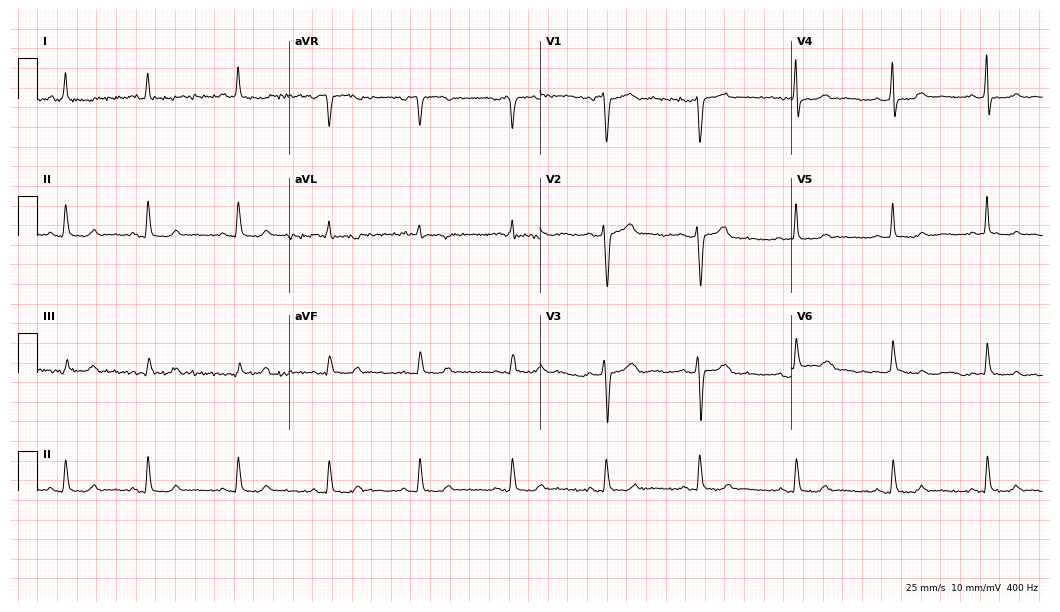
Resting 12-lead electrocardiogram. Patient: a female, 59 years old. None of these six findings is recorded: first-degree AV block, right bundle branch block, left bundle branch block, sinus bradycardia, atrial fibrillation, sinus tachycardia. Findings outside these six are not listed.